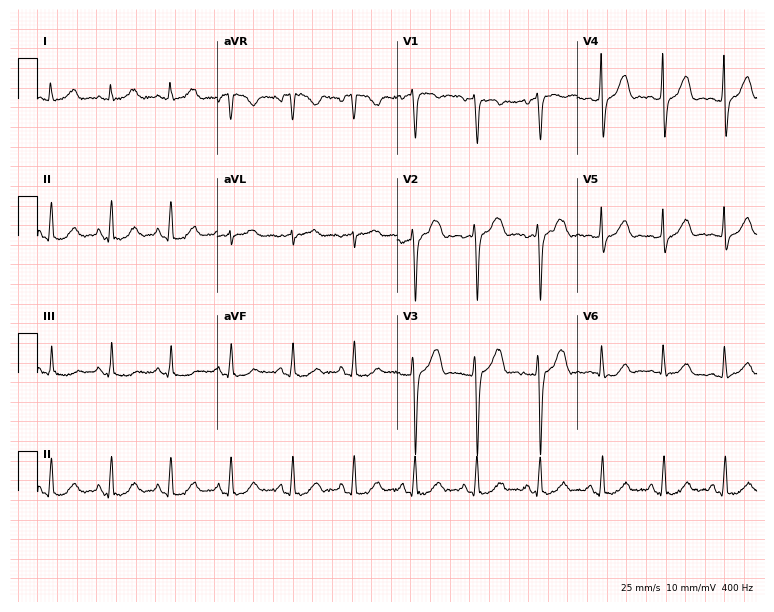
12-lead ECG from a 49-year-old woman (7.3-second recording at 400 Hz). Recorded interpretation: within normal limits.